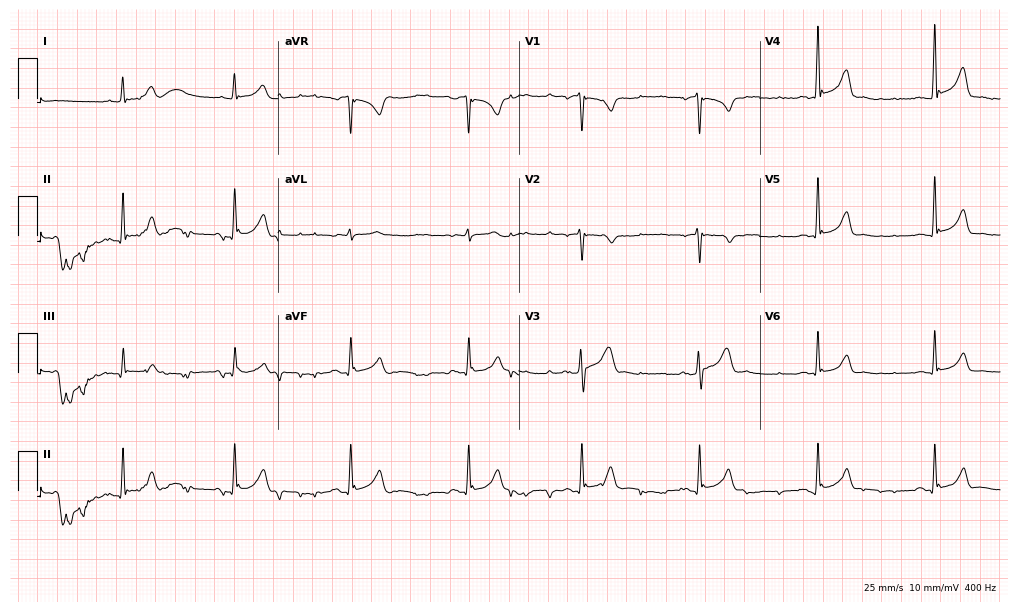
ECG — a male, 36 years old. Labelled as a normal ECG.